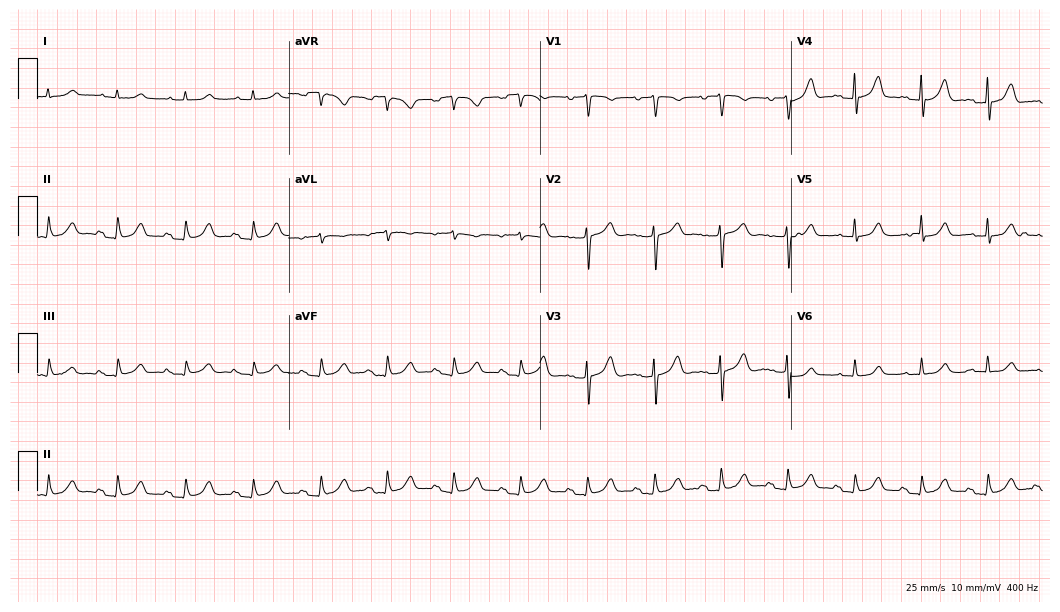
12-lead ECG (10.2-second recording at 400 Hz) from a woman, 74 years old. Labelled as a normal ECG.